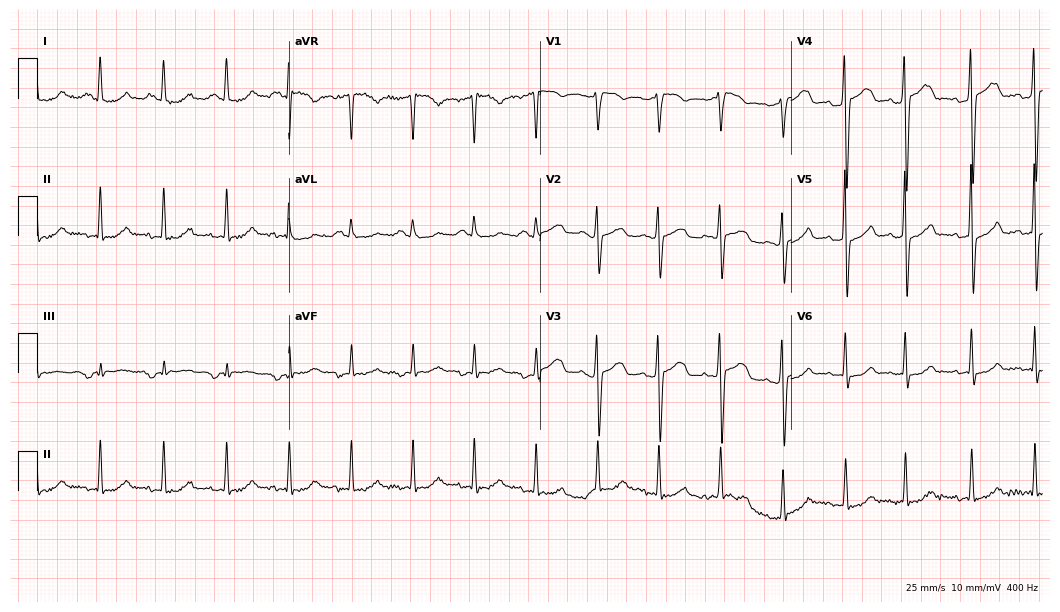
12-lead ECG from a 61-year-old female patient. Labelled as a normal ECG.